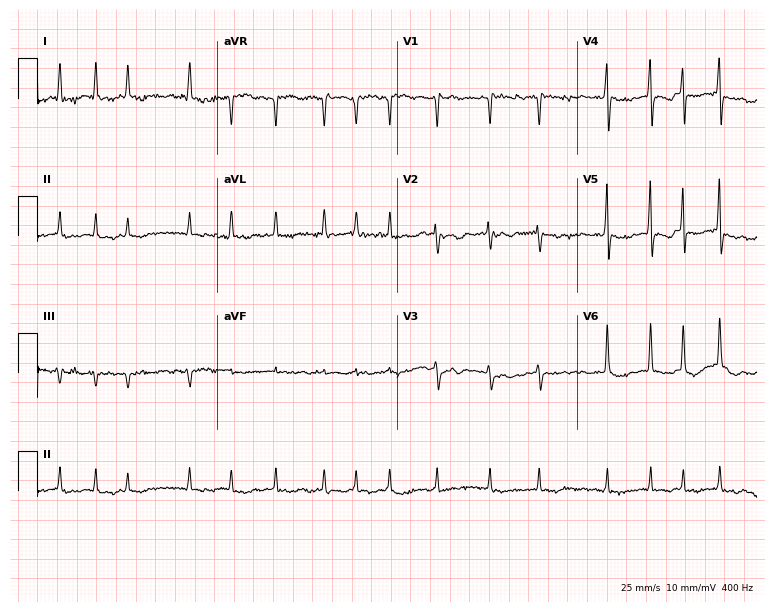
Electrocardiogram (7.3-second recording at 400 Hz), an 85-year-old female. Interpretation includes atrial fibrillation.